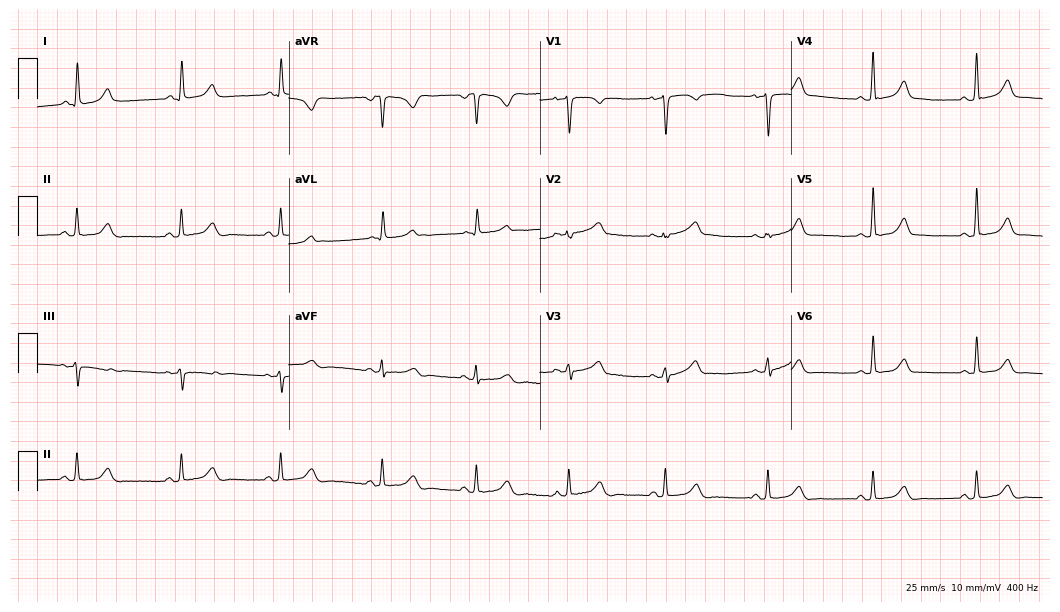
Electrocardiogram, a female, 38 years old. Of the six screened findings (first-degree AV block, right bundle branch block, left bundle branch block, sinus bradycardia, atrial fibrillation, sinus tachycardia), none is recorded.